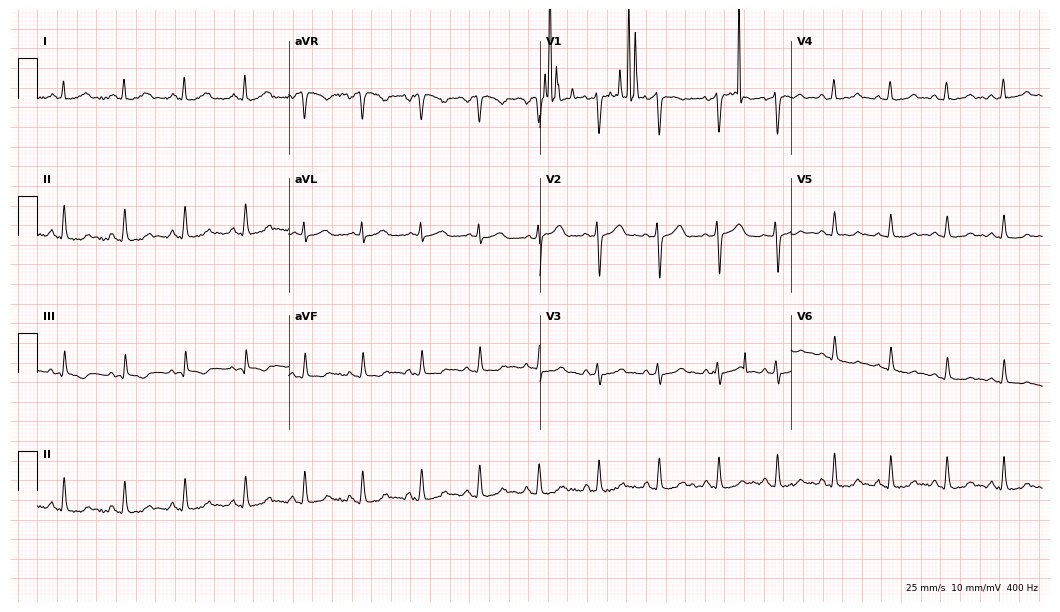
12-lead ECG from a female, 33 years old. Recorded interpretation: within normal limits.